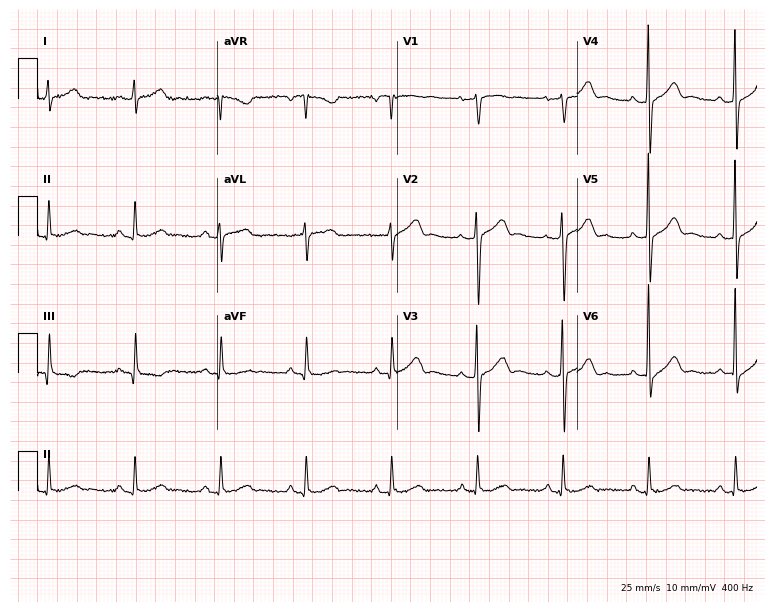
Standard 12-lead ECG recorded from a man, 58 years old. None of these six findings is recorded: first-degree AV block, right bundle branch block, left bundle branch block, sinus bradycardia, atrial fibrillation, sinus tachycardia.